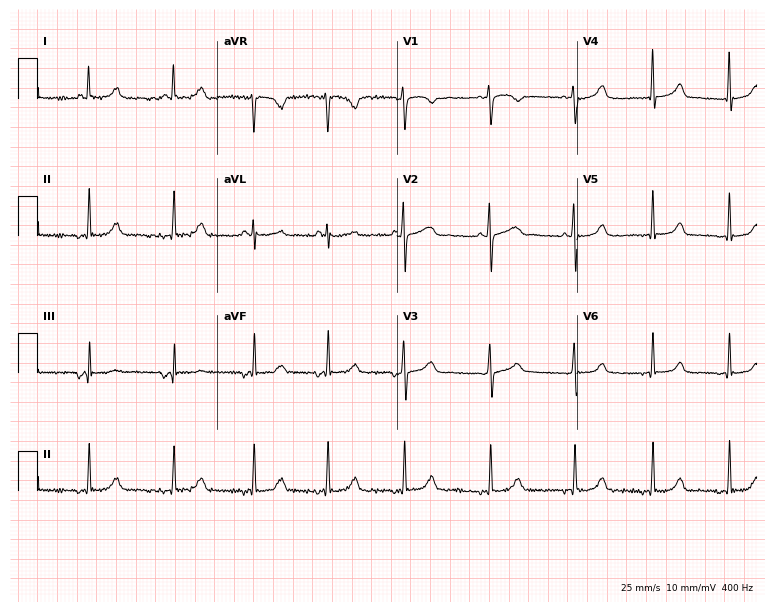
ECG (7.3-second recording at 400 Hz) — a 20-year-old woman. Screened for six findings — first-degree AV block, right bundle branch block (RBBB), left bundle branch block (LBBB), sinus bradycardia, atrial fibrillation (AF), sinus tachycardia — none is recorded. Other findings, if any, are not listed.